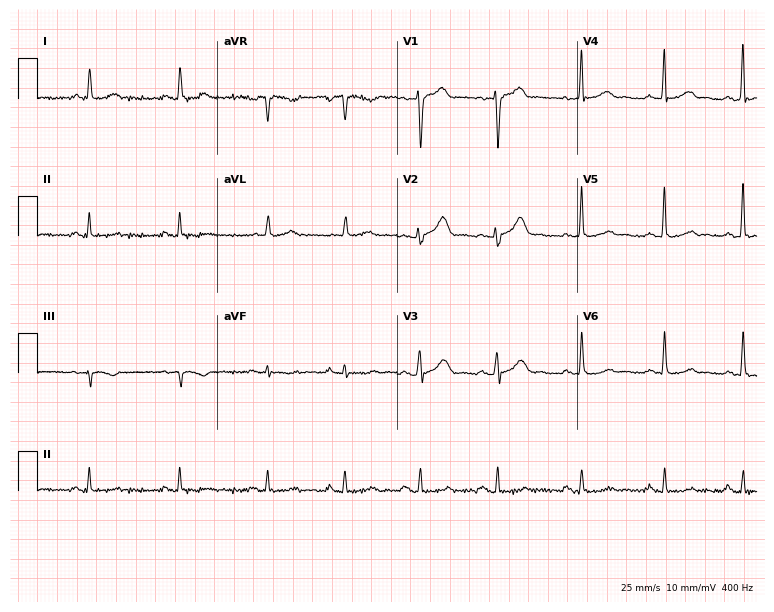
12-lead ECG from a 58-year-old male patient. No first-degree AV block, right bundle branch block, left bundle branch block, sinus bradycardia, atrial fibrillation or sinus tachycardia recorded for this tracing.